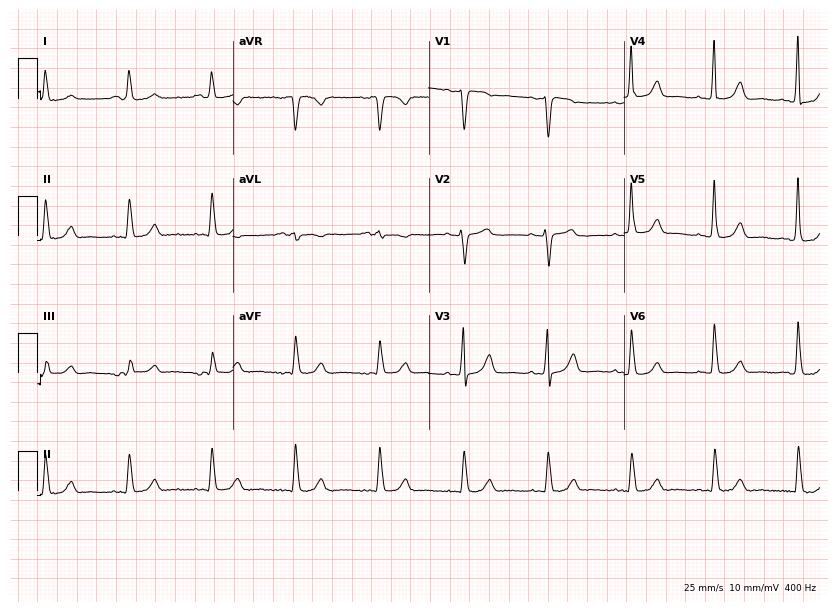
Standard 12-lead ECG recorded from a 74-year-old female. Read as a normal ECG.